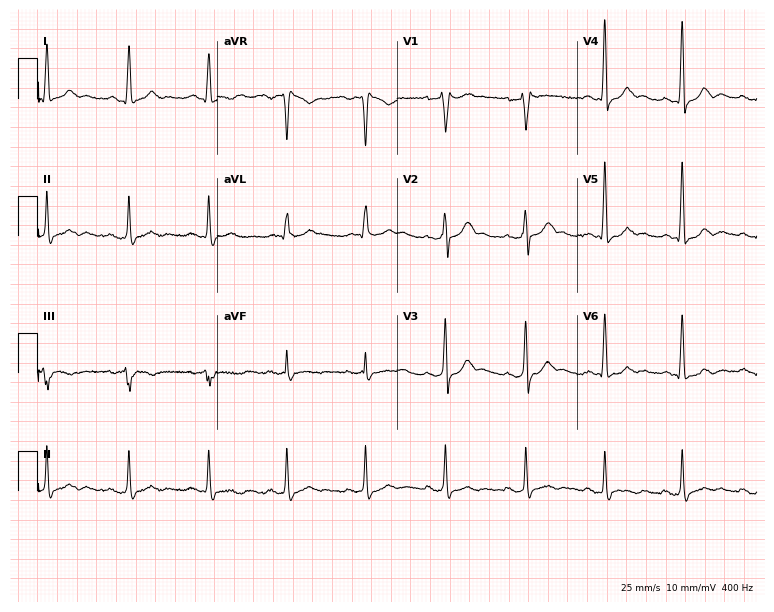
Electrocardiogram (7.3-second recording at 400 Hz), a male, 44 years old. Of the six screened findings (first-degree AV block, right bundle branch block (RBBB), left bundle branch block (LBBB), sinus bradycardia, atrial fibrillation (AF), sinus tachycardia), none is recorded. Other findings, if any, are not listed.